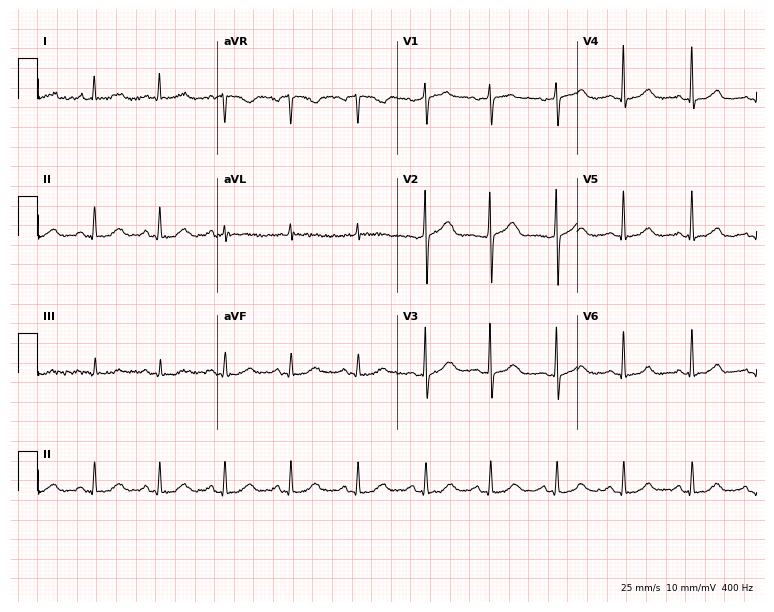
Resting 12-lead electrocardiogram (7.3-second recording at 400 Hz). Patient: a female, 64 years old. Read as a normal ECG.